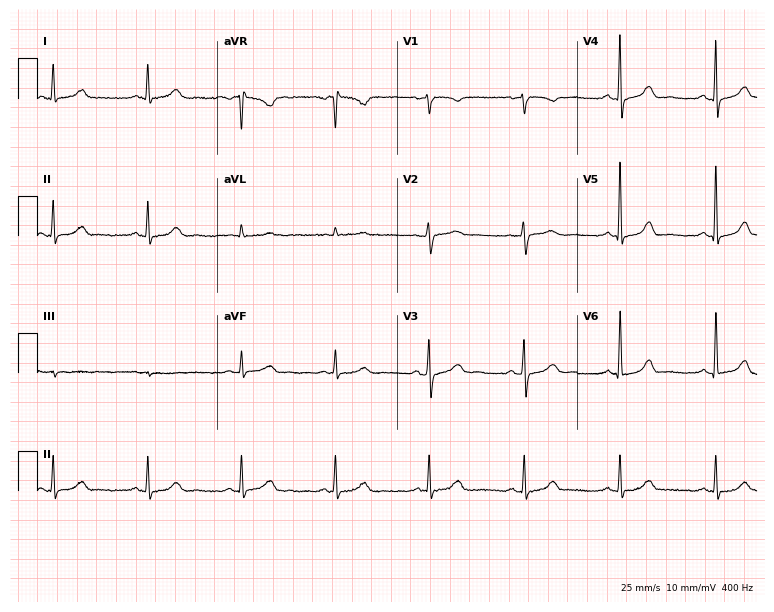
ECG (7.3-second recording at 400 Hz) — a female, 69 years old. Screened for six findings — first-degree AV block, right bundle branch block (RBBB), left bundle branch block (LBBB), sinus bradycardia, atrial fibrillation (AF), sinus tachycardia — none is recorded.